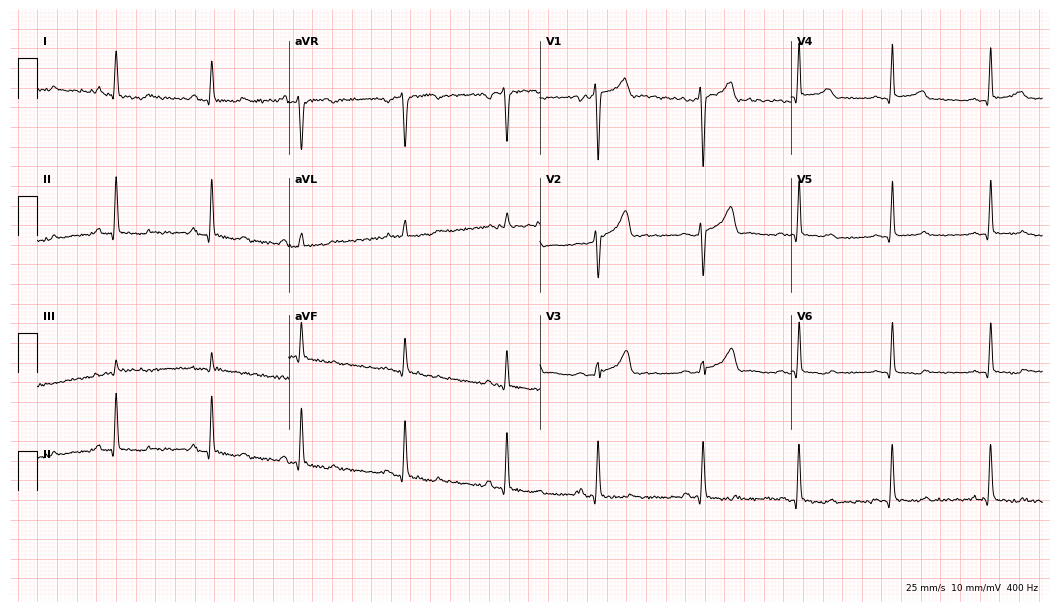
ECG — a 29-year-old woman. Screened for six findings — first-degree AV block, right bundle branch block (RBBB), left bundle branch block (LBBB), sinus bradycardia, atrial fibrillation (AF), sinus tachycardia — none is recorded. Only these six findings were labelled.